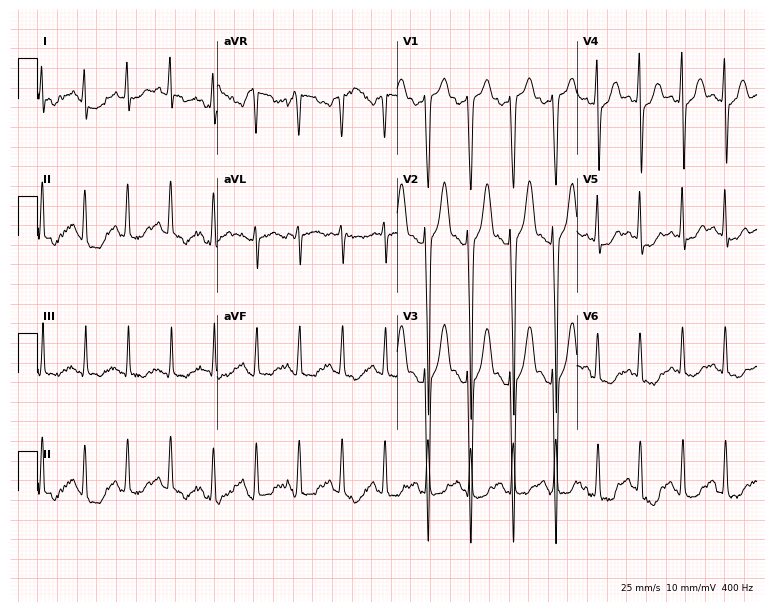
12-lead ECG from a male patient, 30 years old. Findings include sinus tachycardia (a sinus rate of 100 beats per minute or more).